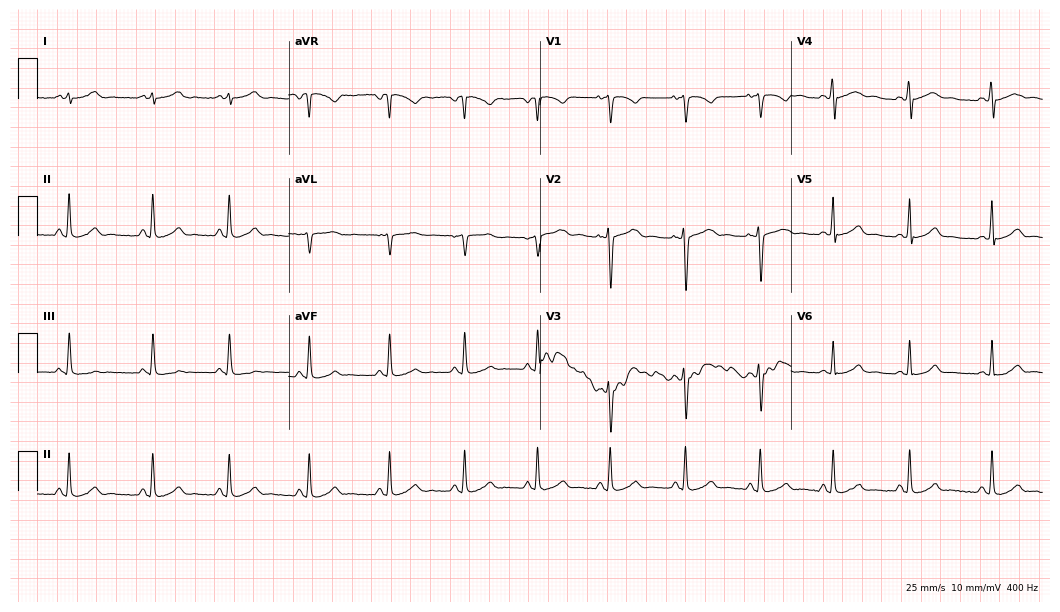
Resting 12-lead electrocardiogram (10.2-second recording at 400 Hz). Patient: a 17-year-old woman. Read as a normal ECG.